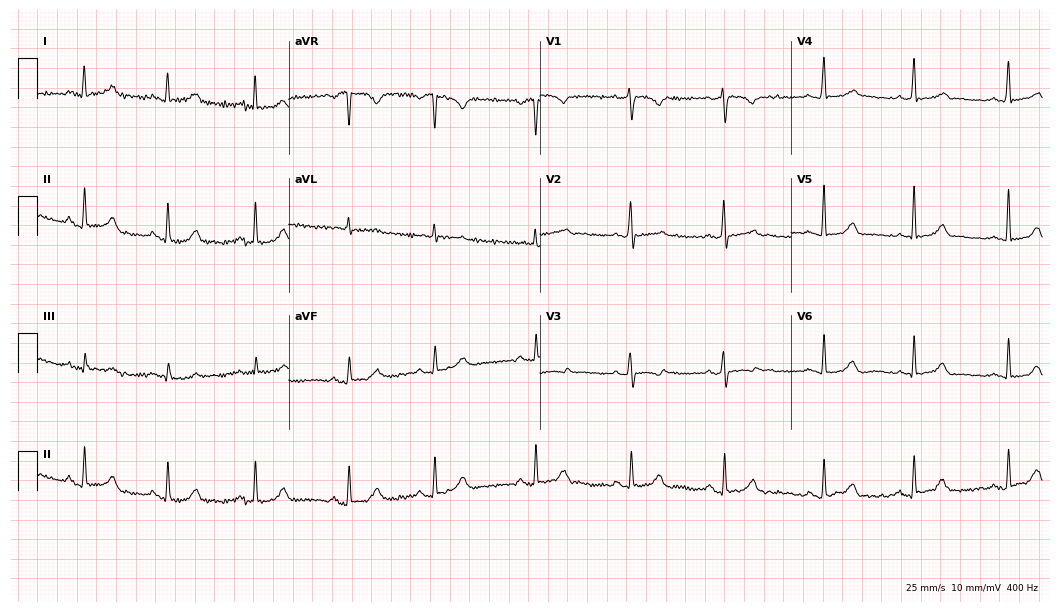
Standard 12-lead ECG recorded from a female patient, 17 years old. Read as a normal ECG.